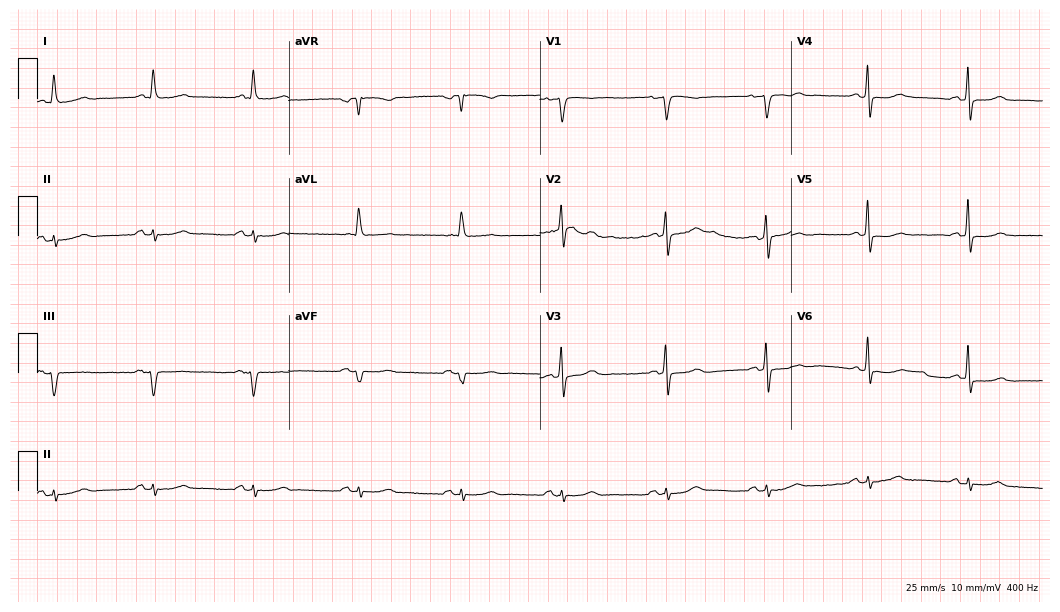
ECG — a 67-year-old woman. Screened for six findings — first-degree AV block, right bundle branch block (RBBB), left bundle branch block (LBBB), sinus bradycardia, atrial fibrillation (AF), sinus tachycardia — none is recorded.